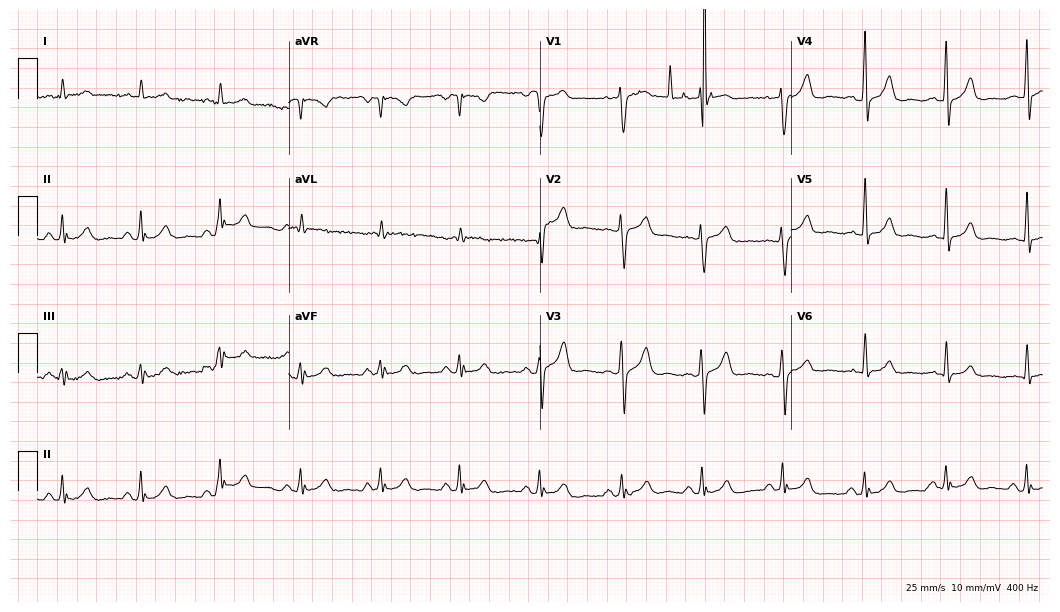
ECG (10.2-second recording at 400 Hz) — a man, 56 years old. Labelled as a normal ECG.